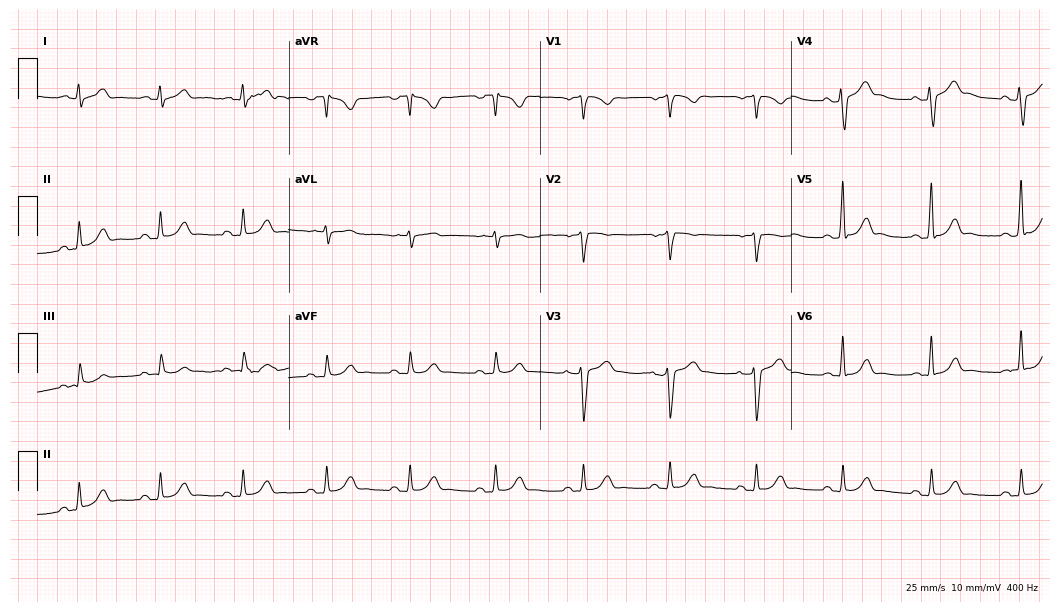
ECG (10.2-second recording at 400 Hz) — a 31-year-old male. Labelled as a normal ECG.